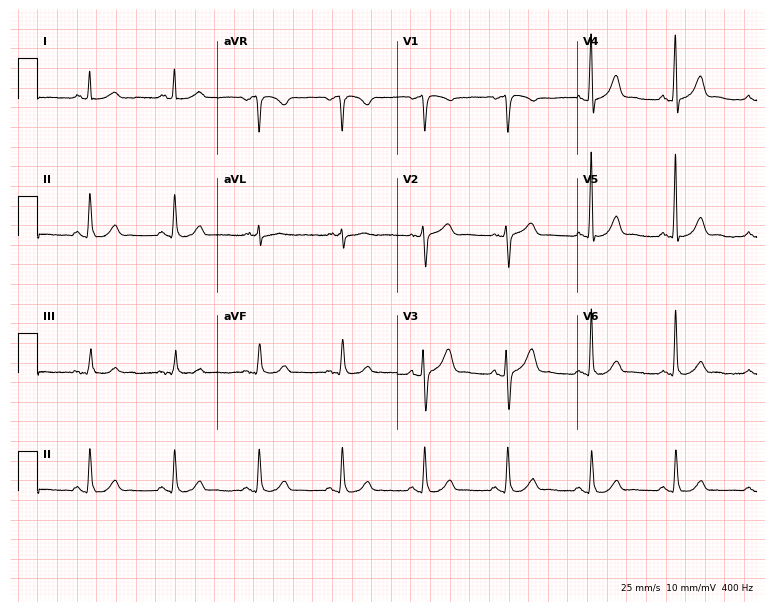
Electrocardiogram (7.3-second recording at 400 Hz), a man, 49 years old. Overall reading on record: normal ECG.